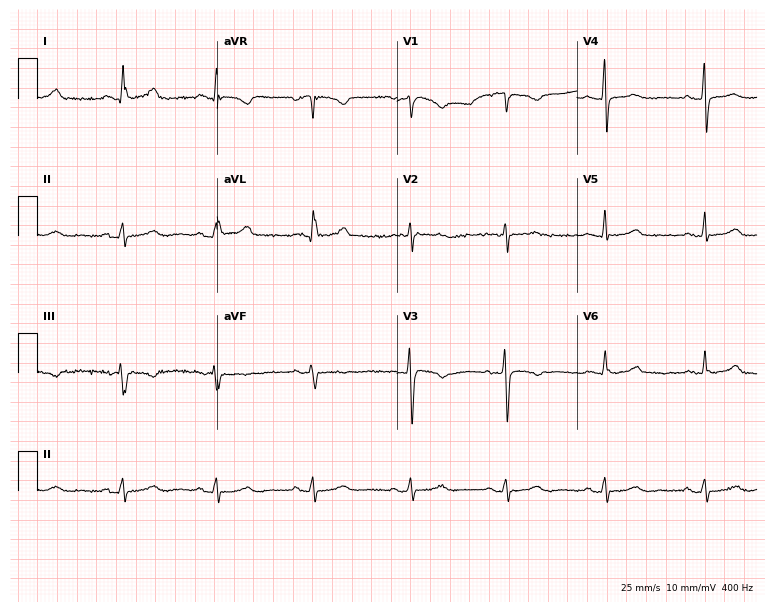
Electrocardiogram (7.3-second recording at 400 Hz), a 64-year-old woman. Of the six screened findings (first-degree AV block, right bundle branch block, left bundle branch block, sinus bradycardia, atrial fibrillation, sinus tachycardia), none is recorded. Other findings, if any, are not listed.